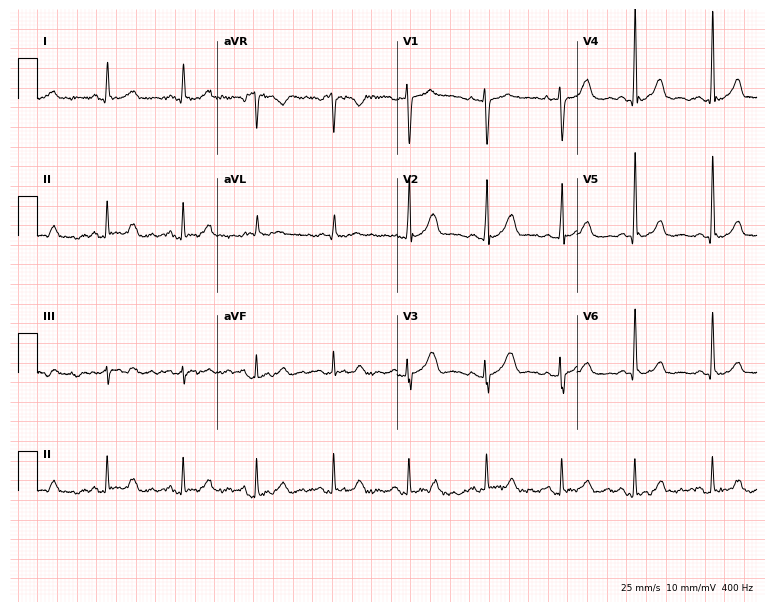
Electrocardiogram (7.3-second recording at 400 Hz), a female patient, 46 years old. Overall reading on record: normal ECG.